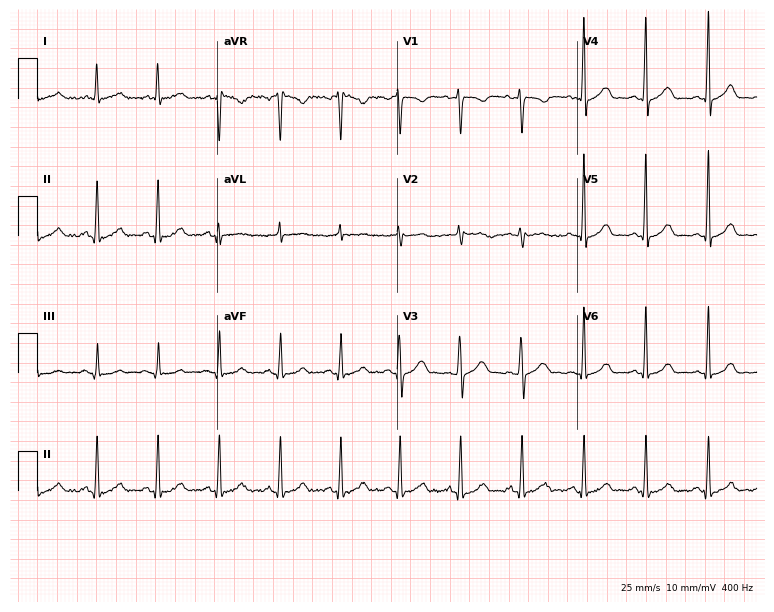
Standard 12-lead ECG recorded from a female patient, 41 years old (7.3-second recording at 400 Hz). Read as a normal ECG.